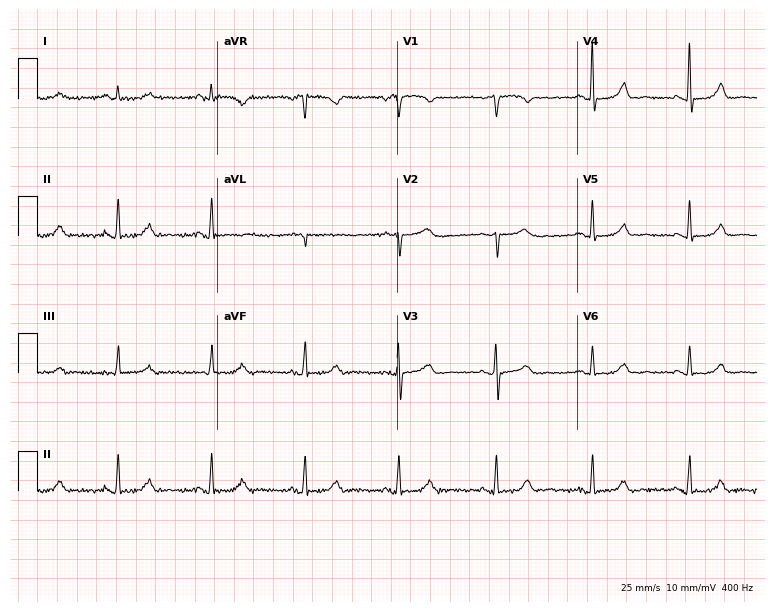
Resting 12-lead electrocardiogram. Patient: a 60-year-old female. Read as a normal ECG.